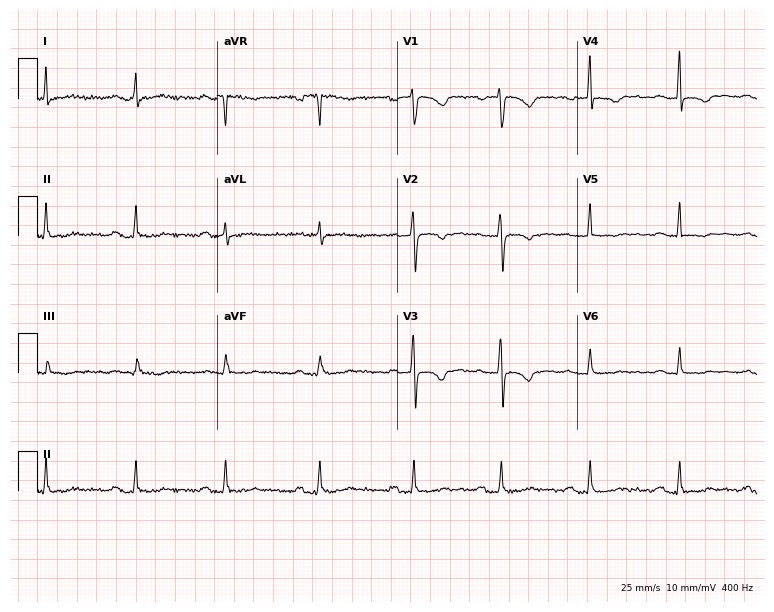
Resting 12-lead electrocardiogram. Patient: a 44-year-old female. None of these six findings is recorded: first-degree AV block, right bundle branch block, left bundle branch block, sinus bradycardia, atrial fibrillation, sinus tachycardia. Other findings, if any, are not listed.